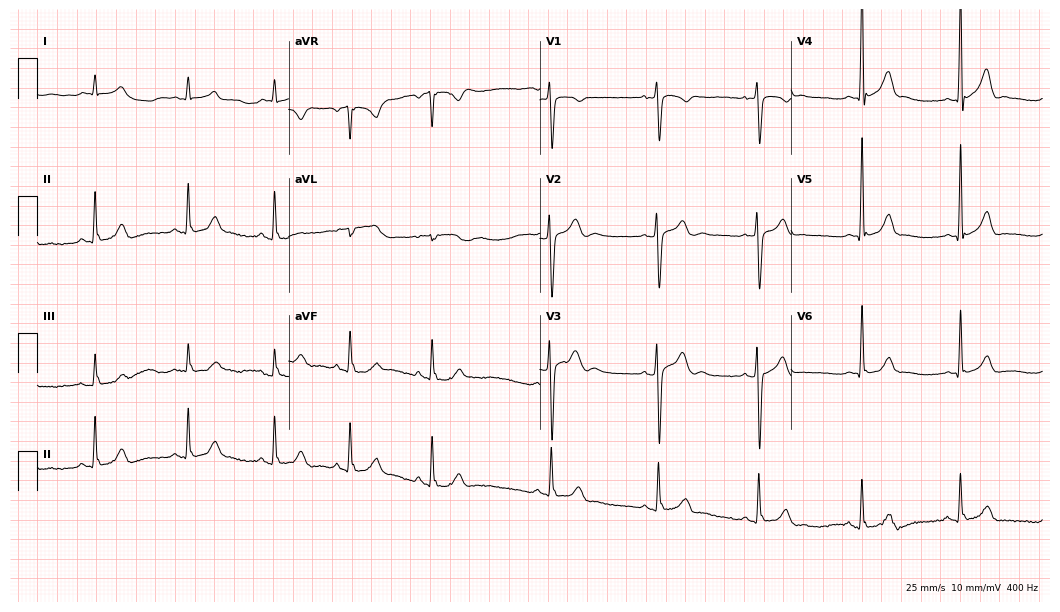
Resting 12-lead electrocardiogram (10.2-second recording at 400 Hz). Patient: a man, 18 years old. Read as a normal ECG.